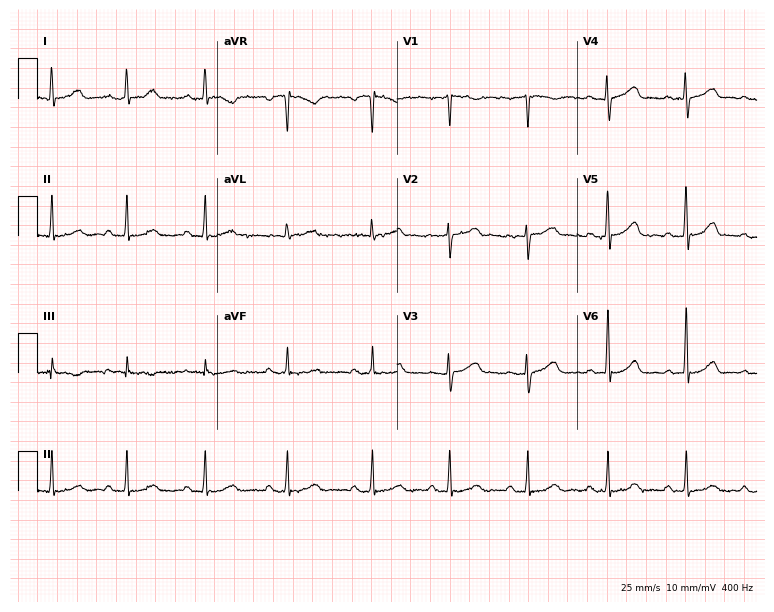
ECG (7.3-second recording at 400 Hz) — a female patient, 48 years old. Labelled as a normal ECG.